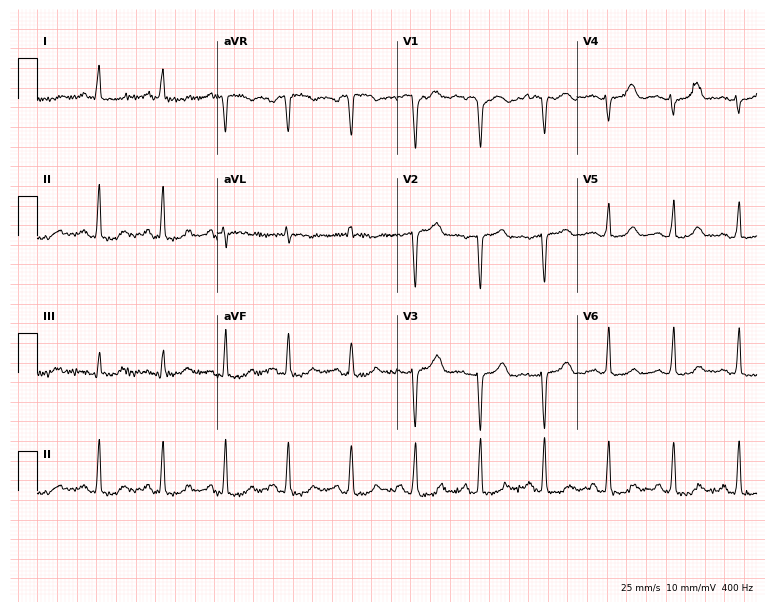
Resting 12-lead electrocardiogram. Patient: a 41-year-old female. None of these six findings is recorded: first-degree AV block, right bundle branch block, left bundle branch block, sinus bradycardia, atrial fibrillation, sinus tachycardia. Only these six findings were labelled.